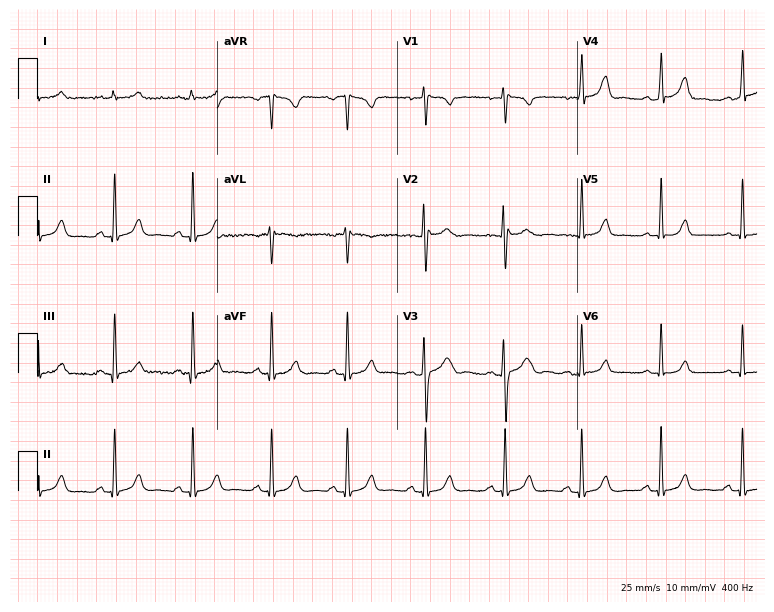
ECG (7.3-second recording at 400 Hz) — a 29-year-old woman. Labelled as a normal ECG.